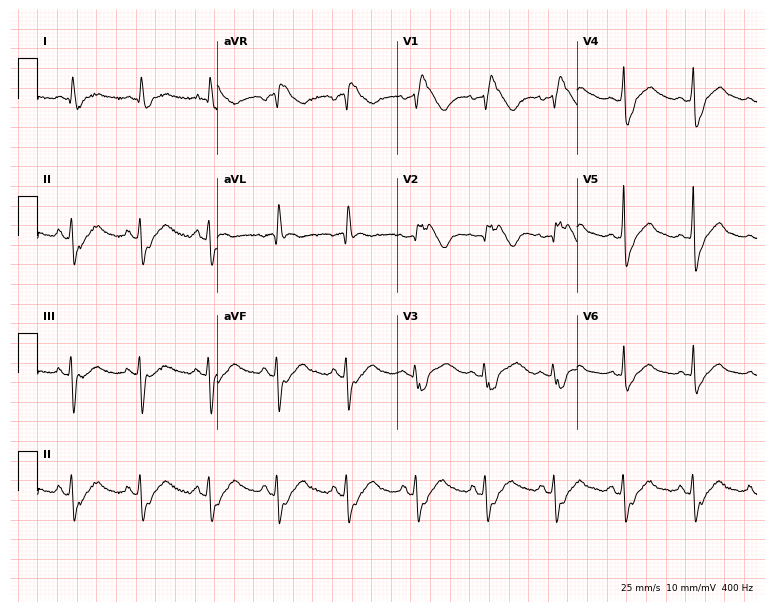
12-lead ECG from a man, 36 years old. Findings include right bundle branch block.